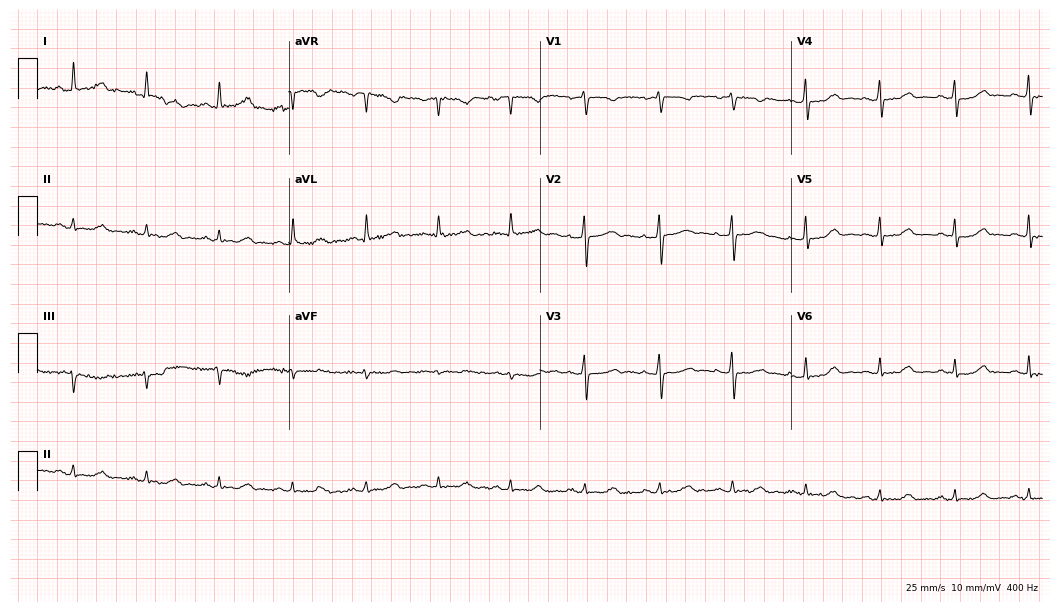
ECG — a woman, 50 years old. Labelled as a normal ECG.